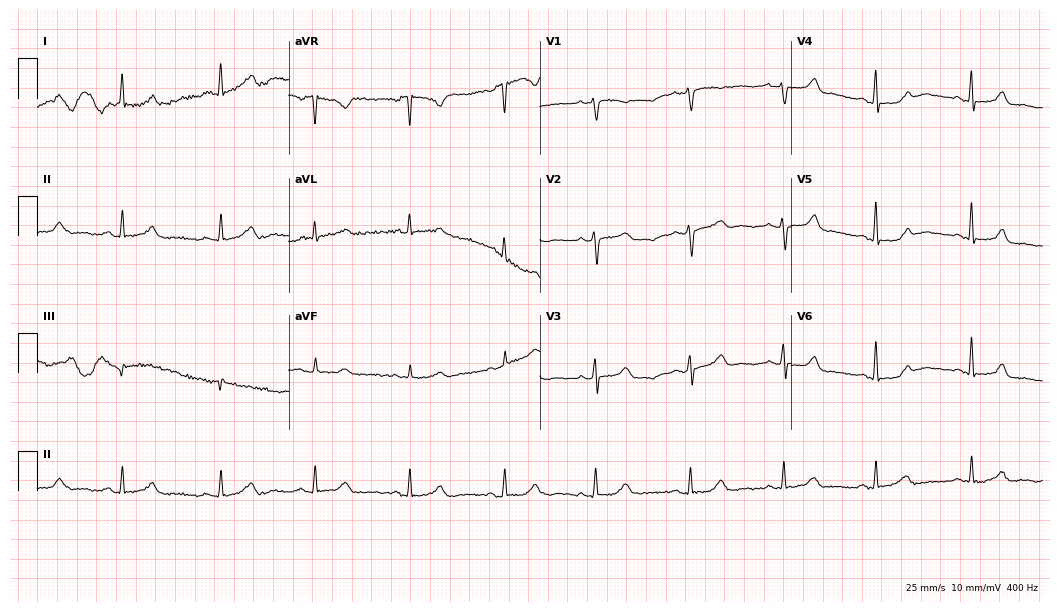
Electrocardiogram, a 45-year-old woman. Overall reading on record: normal ECG.